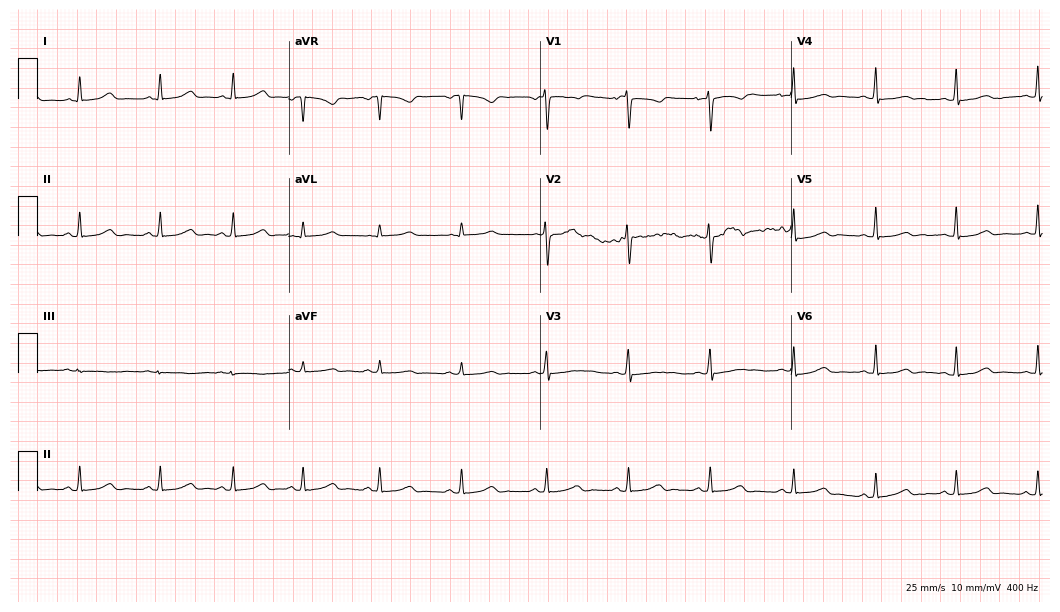
ECG — a 31-year-old female patient. Labelled as a normal ECG.